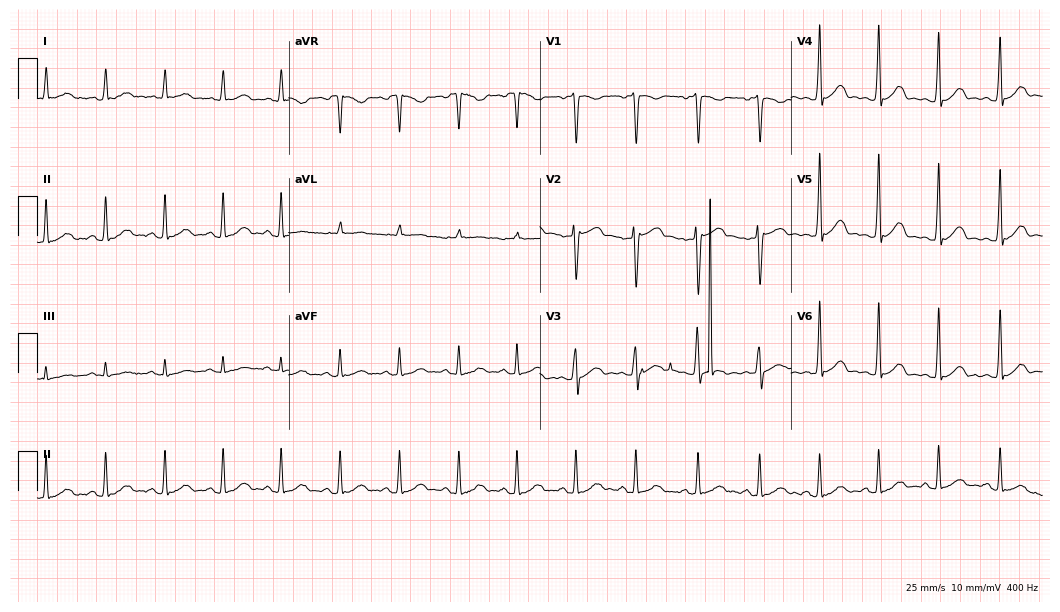
ECG (10.2-second recording at 400 Hz) — a woman, 39 years old. Labelled as a normal ECG.